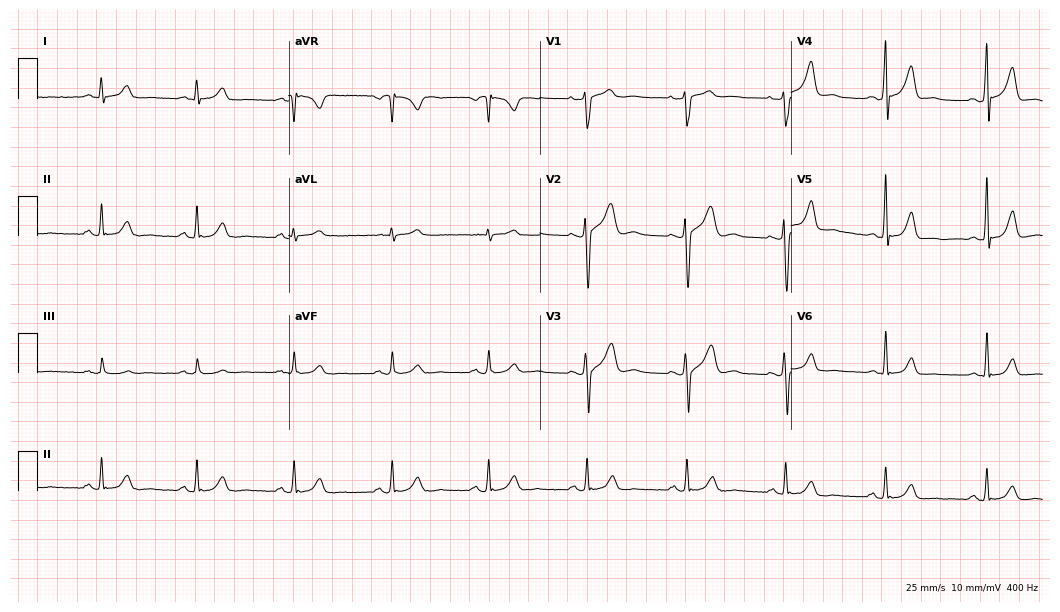
ECG (10.2-second recording at 400 Hz) — a 47-year-old male. Labelled as a normal ECG.